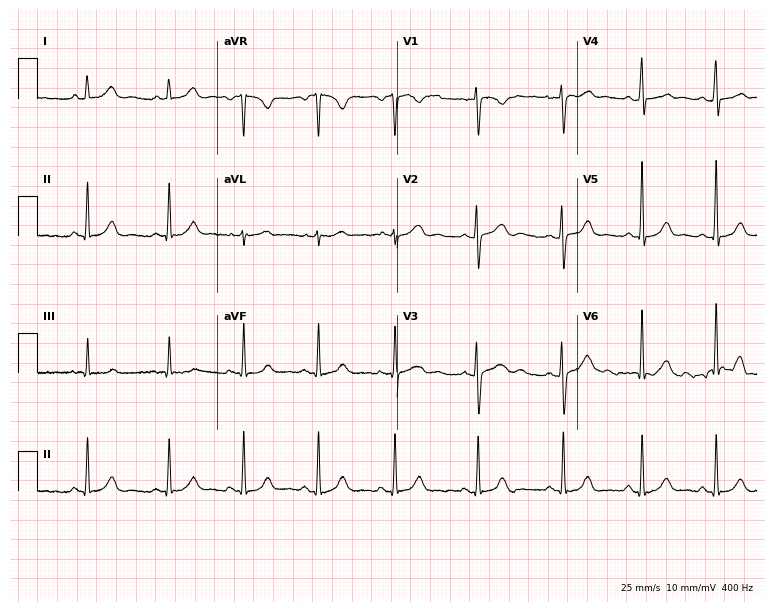
12-lead ECG (7.3-second recording at 400 Hz) from a 27-year-old female. Labelled as a normal ECG.